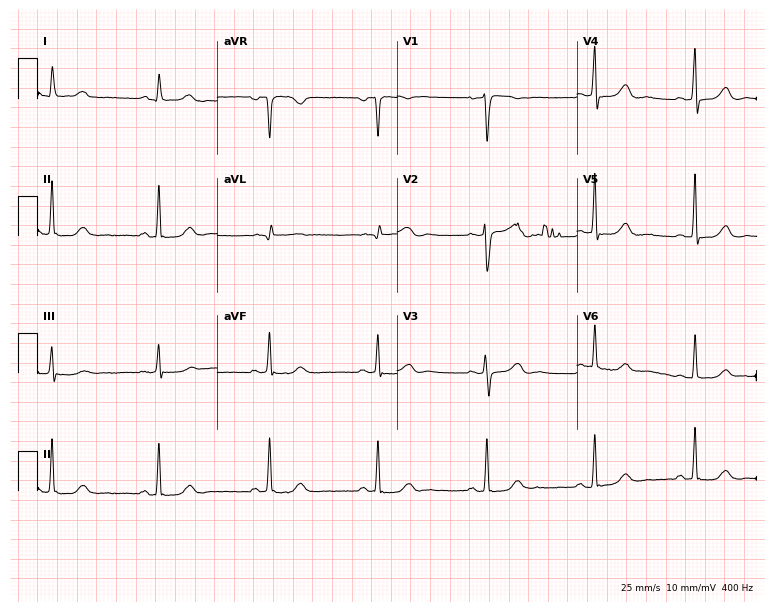
Standard 12-lead ECG recorded from a female patient, 57 years old. None of these six findings is recorded: first-degree AV block, right bundle branch block, left bundle branch block, sinus bradycardia, atrial fibrillation, sinus tachycardia. Only these six findings were labelled.